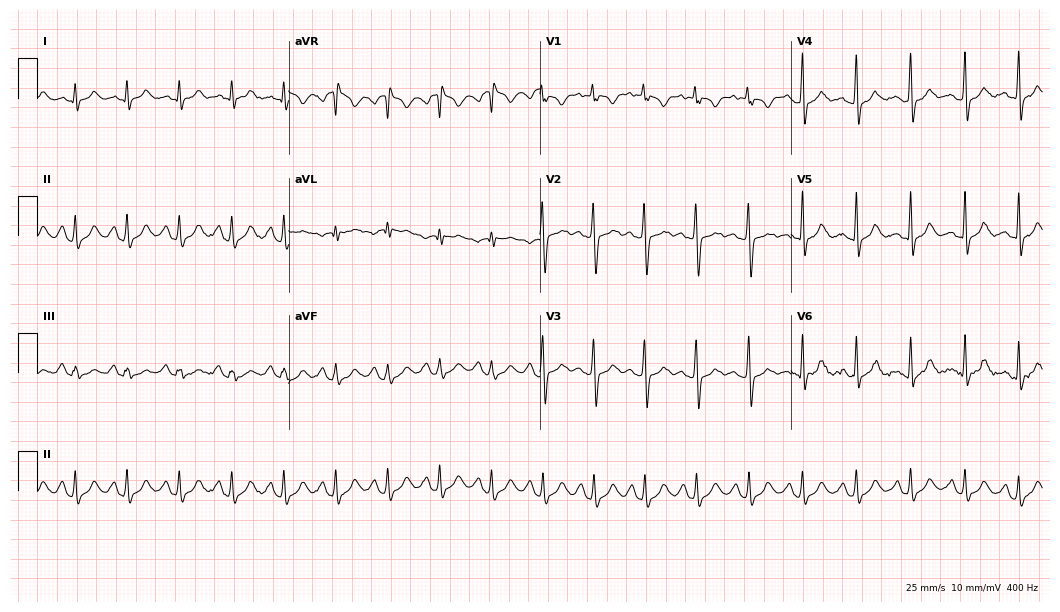
Electrocardiogram (10.2-second recording at 400 Hz), a female patient, 28 years old. Interpretation includes sinus tachycardia (a sinus rate of 100 beats per minute or more).